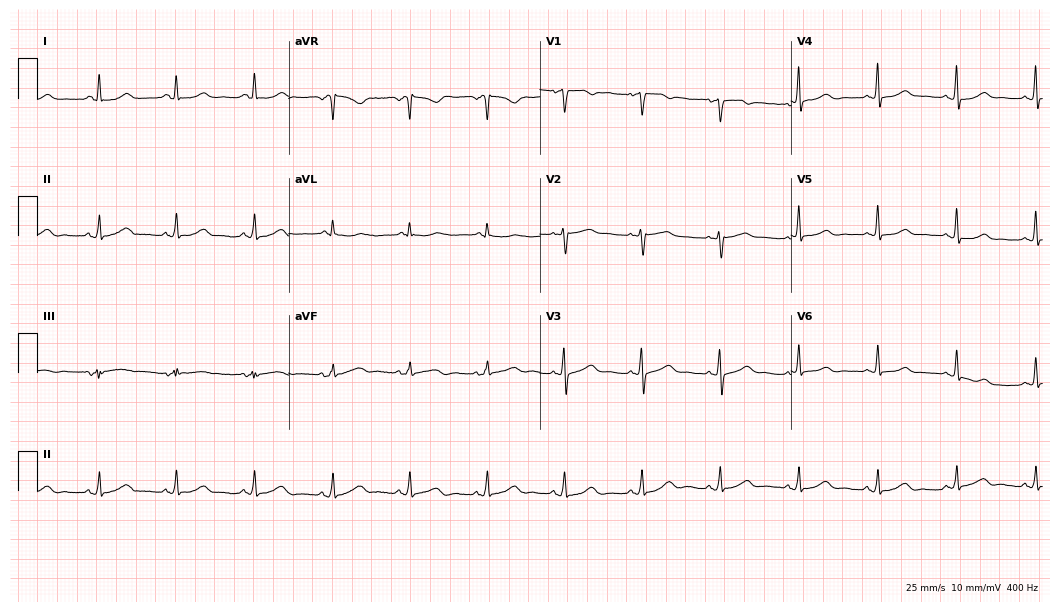
Resting 12-lead electrocardiogram. Patient: a 69-year-old female. None of these six findings is recorded: first-degree AV block, right bundle branch block (RBBB), left bundle branch block (LBBB), sinus bradycardia, atrial fibrillation (AF), sinus tachycardia.